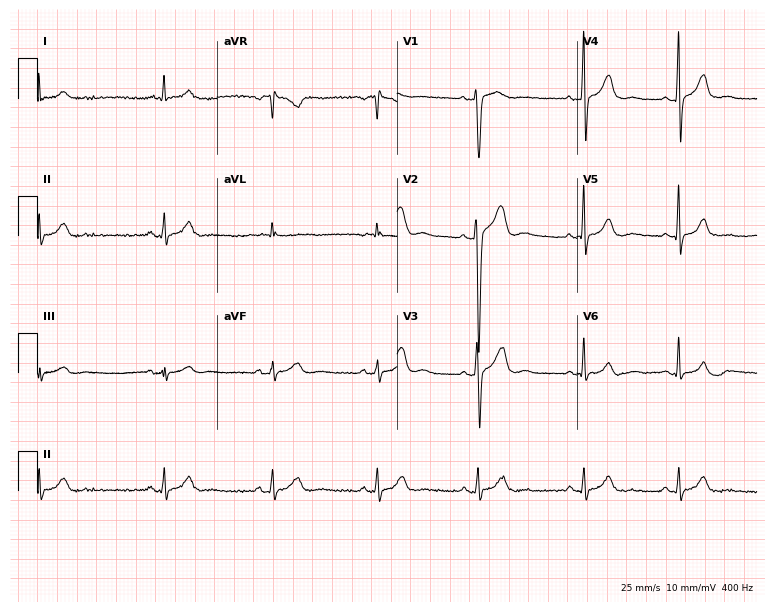
12-lead ECG from a male, 37 years old. Labelled as a normal ECG.